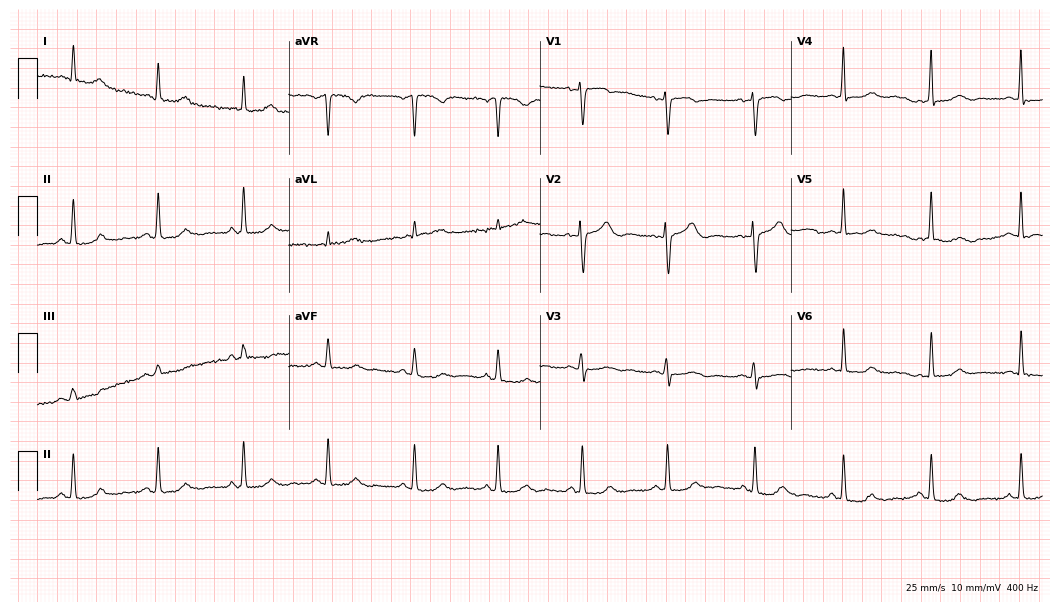
Electrocardiogram, a 45-year-old female patient. Overall reading on record: normal ECG.